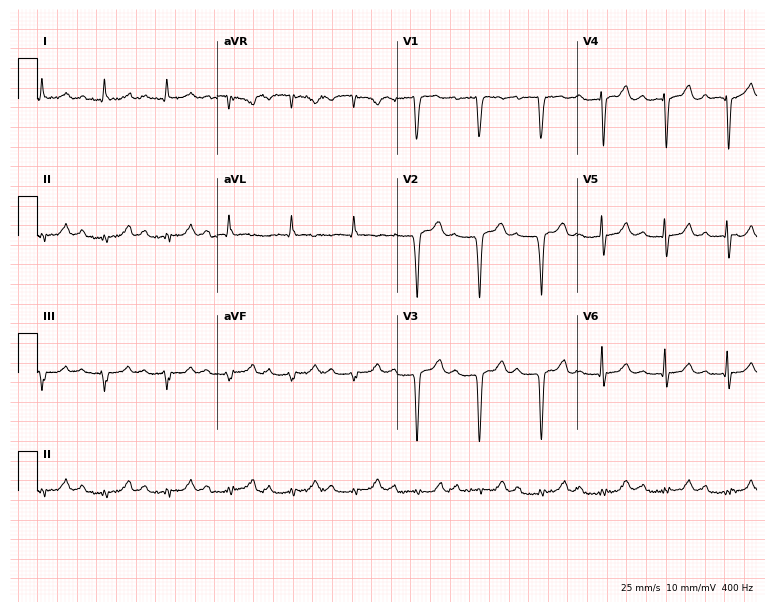
Resting 12-lead electrocardiogram. Patient: a male, 65 years old. The tracing shows first-degree AV block.